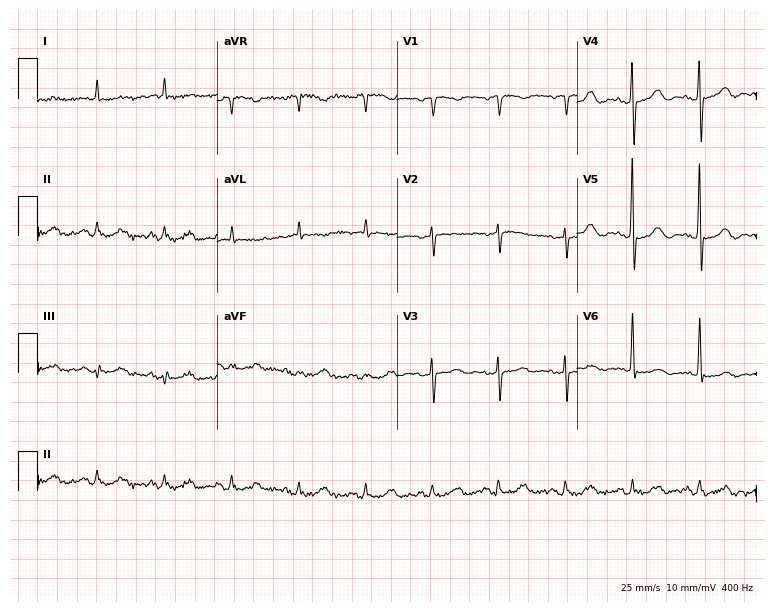
Electrocardiogram, an 84-year-old male patient. Of the six screened findings (first-degree AV block, right bundle branch block, left bundle branch block, sinus bradycardia, atrial fibrillation, sinus tachycardia), none is recorded.